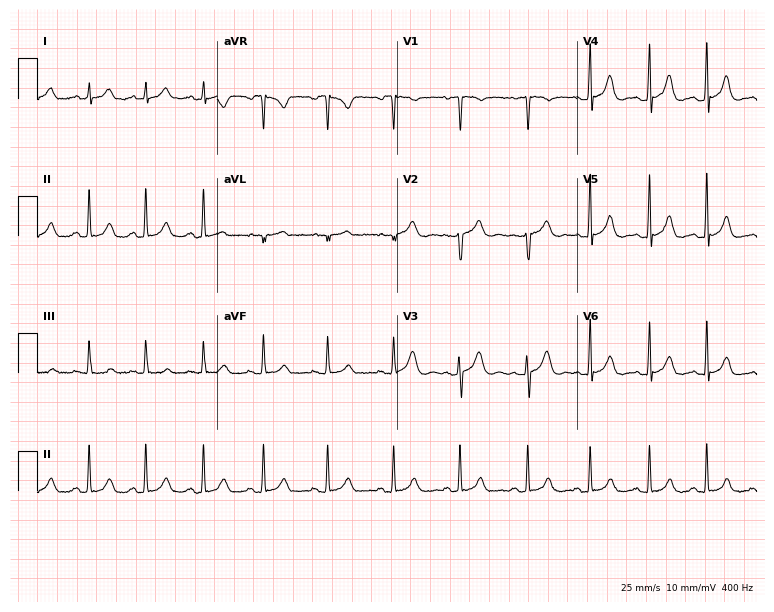
ECG (7.3-second recording at 400 Hz) — a woman, 22 years old. Labelled as a normal ECG.